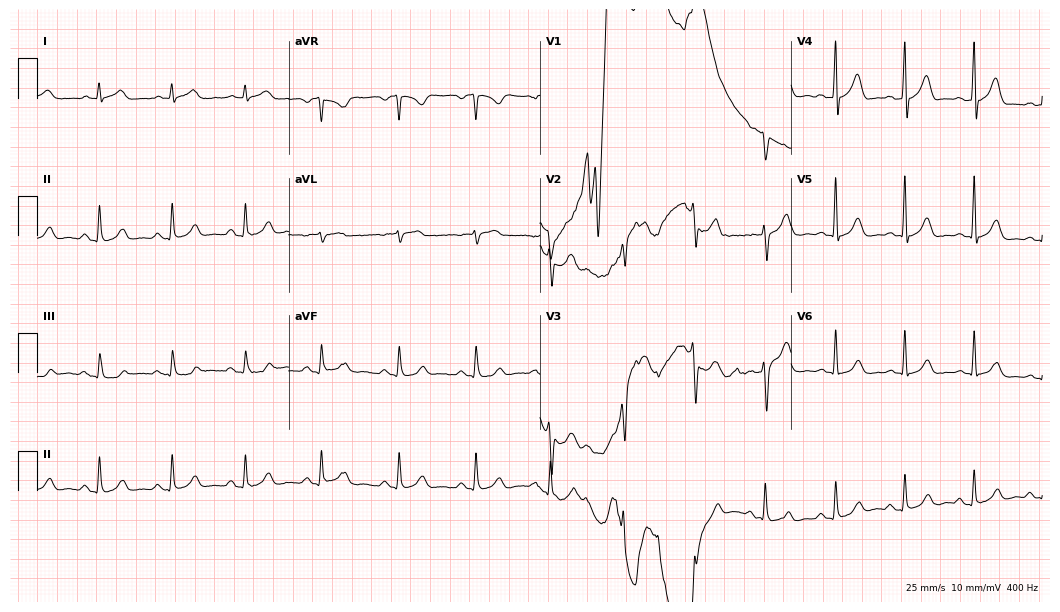
Resting 12-lead electrocardiogram (10.2-second recording at 400 Hz). Patient: a 56-year-old male. Read as a normal ECG.